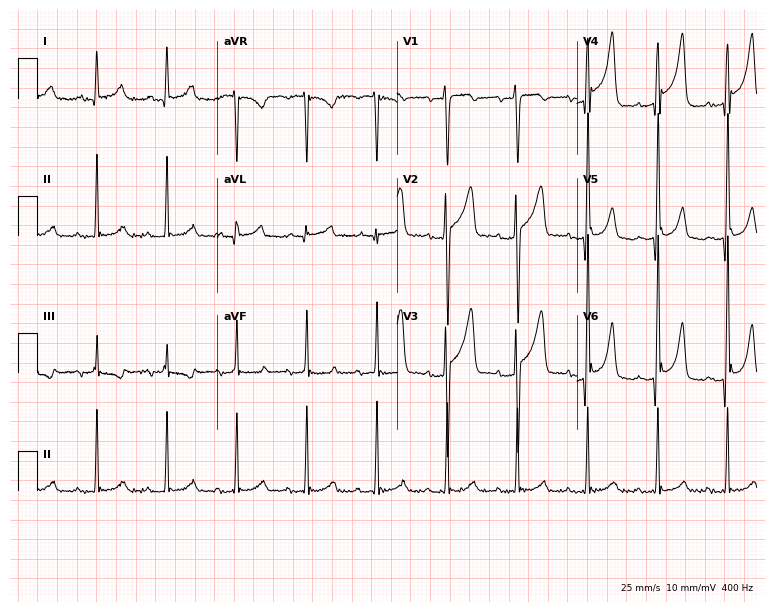
Resting 12-lead electrocardiogram (7.3-second recording at 400 Hz). Patient: a male, 49 years old. Read as a normal ECG.